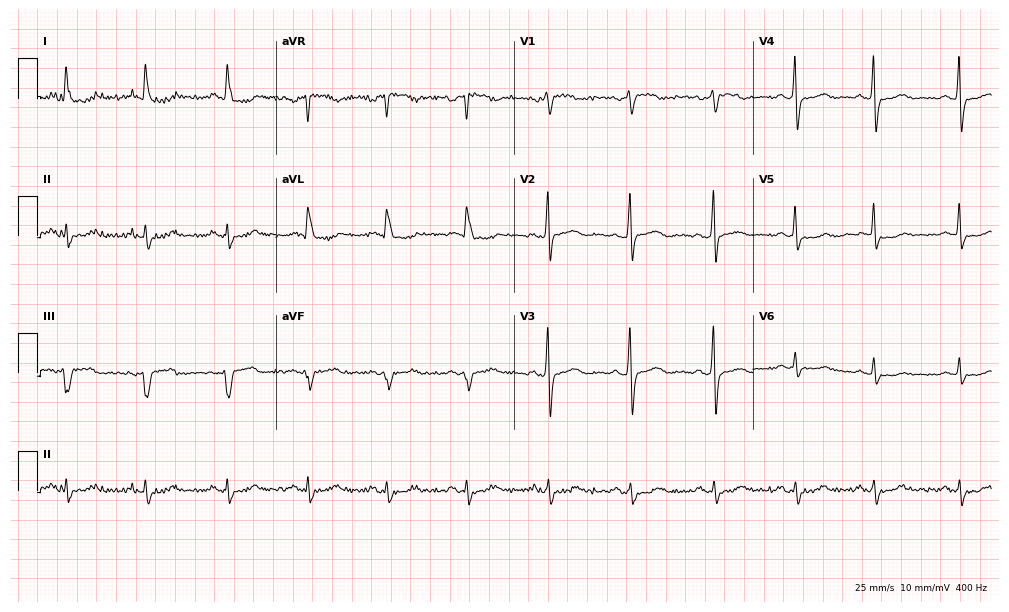
ECG (9.7-second recording at 400 Hz) — a 68-year-old female patient. Screened for six findings — first-degree AV block, right bundle branch block (RBBB), left bundle branch block (LBBB), sinus bradycardia, atrial fibrillation (AF), sinus tachycardia — none is recorded.